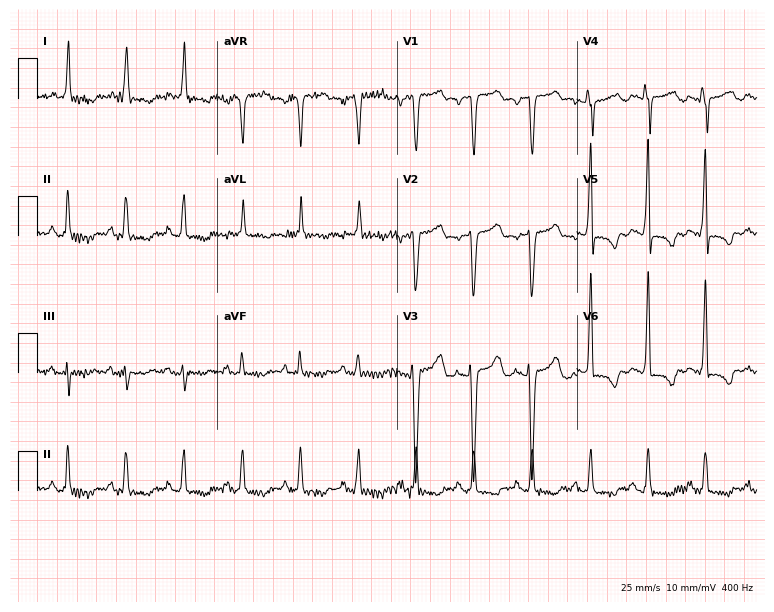
Standard 12-lead ECG recorded from a female patient, 61 years old (7.3-second recording at 400 Hz). The tracing shows sinus tachycardia (a sinus rate of 100 beats per minute or more).